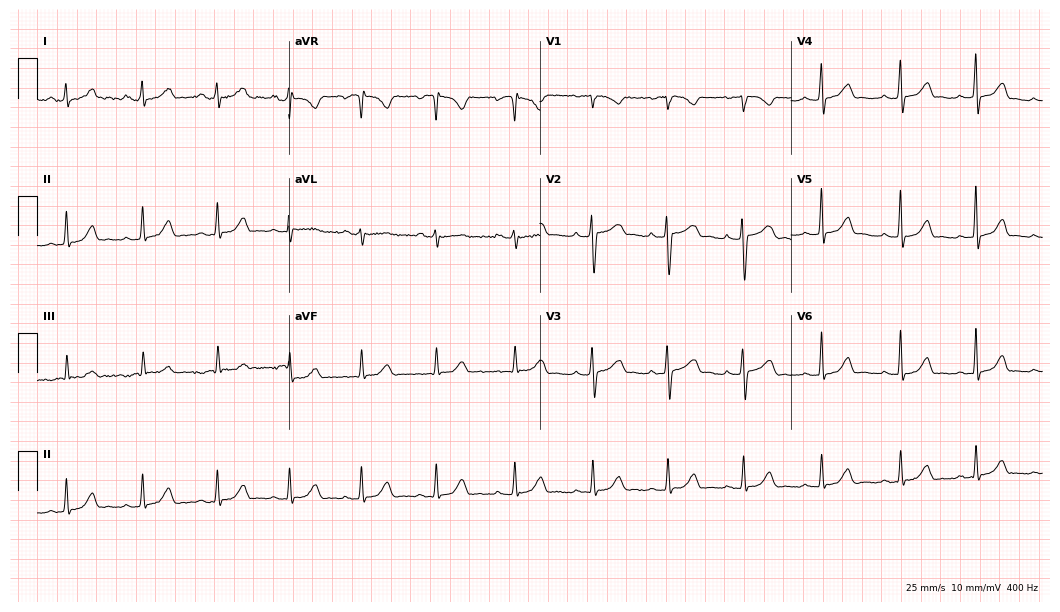
ECG — a female, 28 years old. Labelled as a normal ECG.